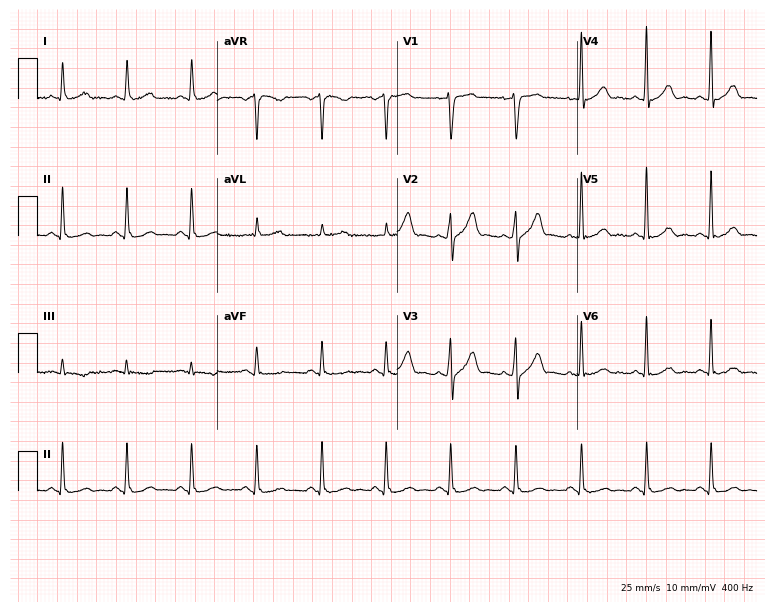
ECG — a 52-year-old male patient. Labelled as a normal ECG.